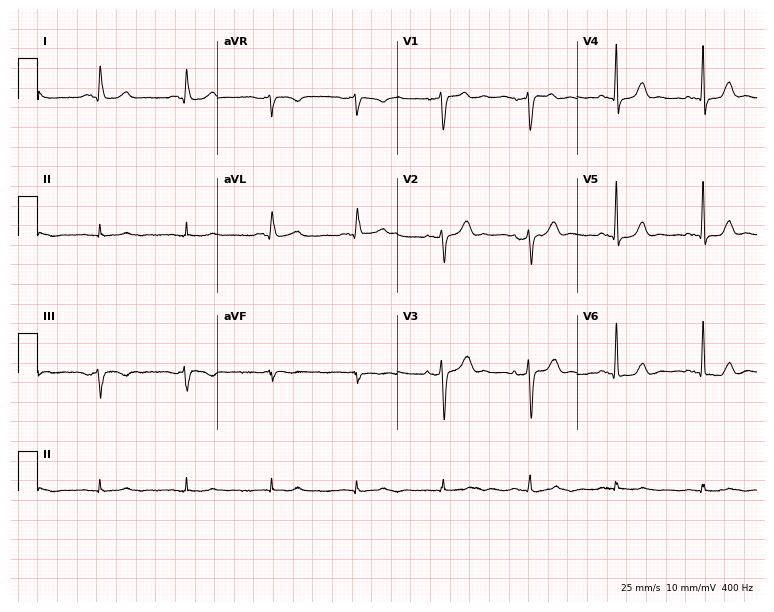
Resting 12-lead electrocardiogram. Patient: a 78-year-old male. Read as a normal ECG.